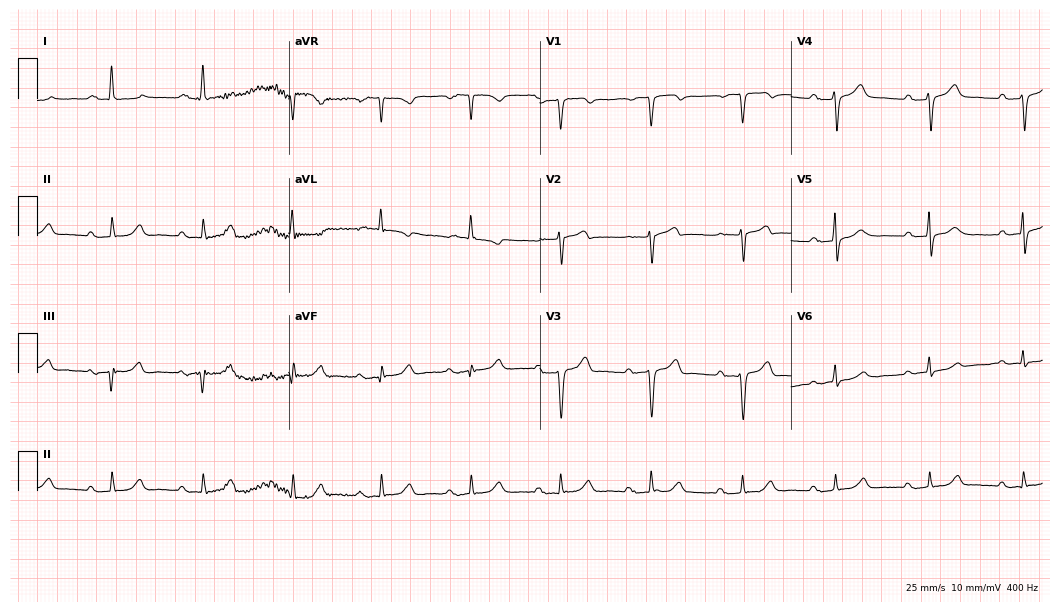
Standard 12-lead ECG recorded from a man, 67 years old (10.2-second recording at 400 Hz). The tracing shows first-degree AV block.